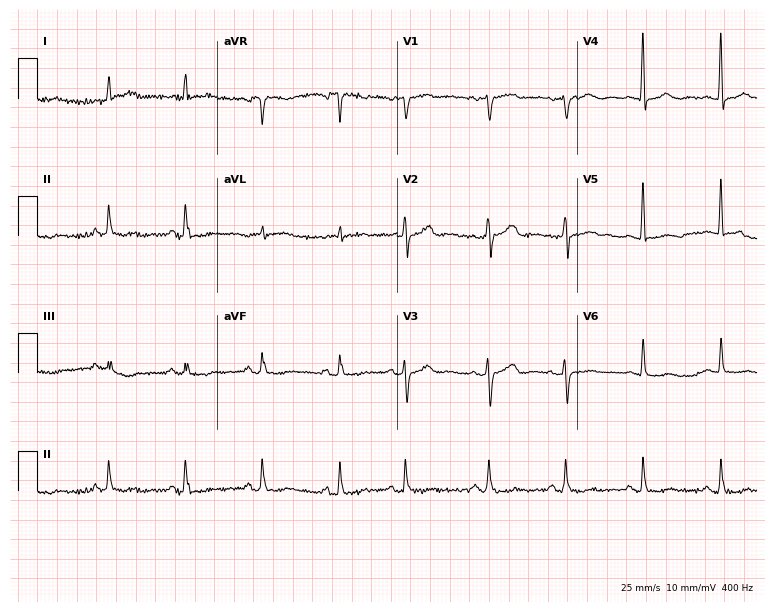
Standard 12-lead ECG recorded from a 79-year-old woman (7.3-second recording at 400 Hz). Read as a normal ECG.